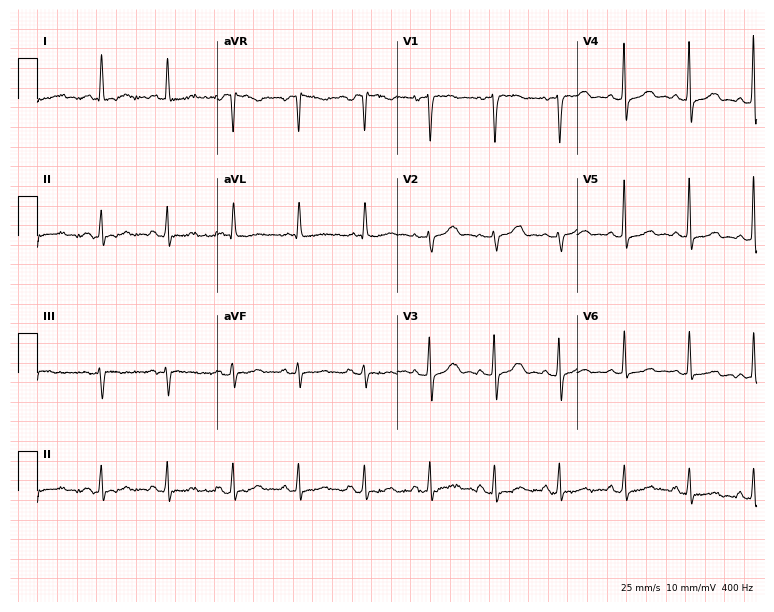
Standard 12-lead ECG recorded from a woman, 71 years old (7.3-second recording at 400 Hz). None of these six findings is recorded: first-degree AV block, right bundle branch block, left bundle branch block, sinus bradycardia, atrial fibrillation, sinus tachycardia. Other findings, if any, are not listed.